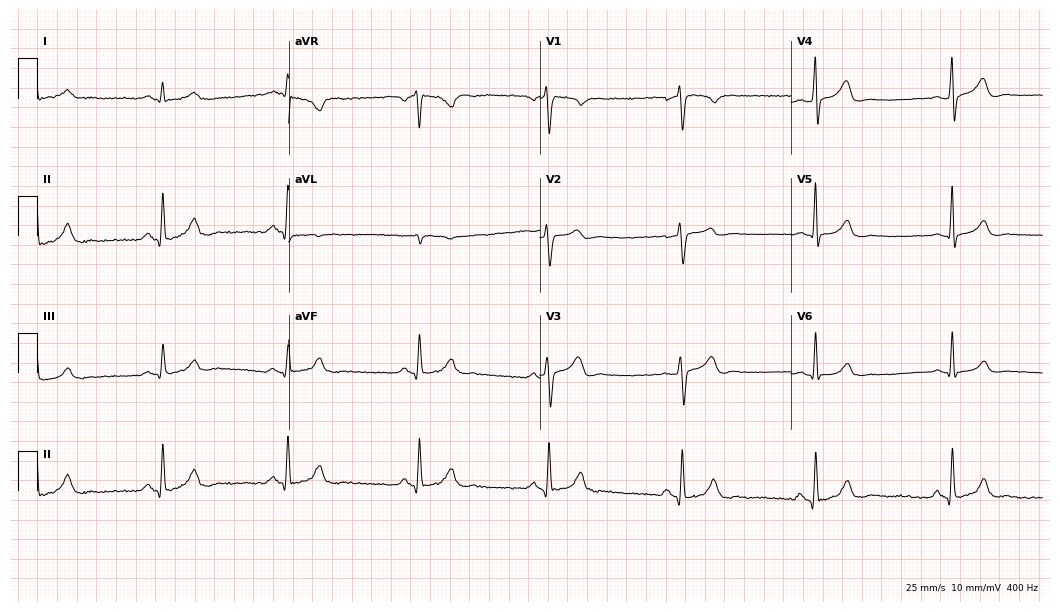
Resting 12-lead electrocardiogram (10.2-second recording at 400 Hz). Patient: a male, 59 years old. The tracing shows sinus bradycardia (a sinus rate of 50 beats per minute or less).